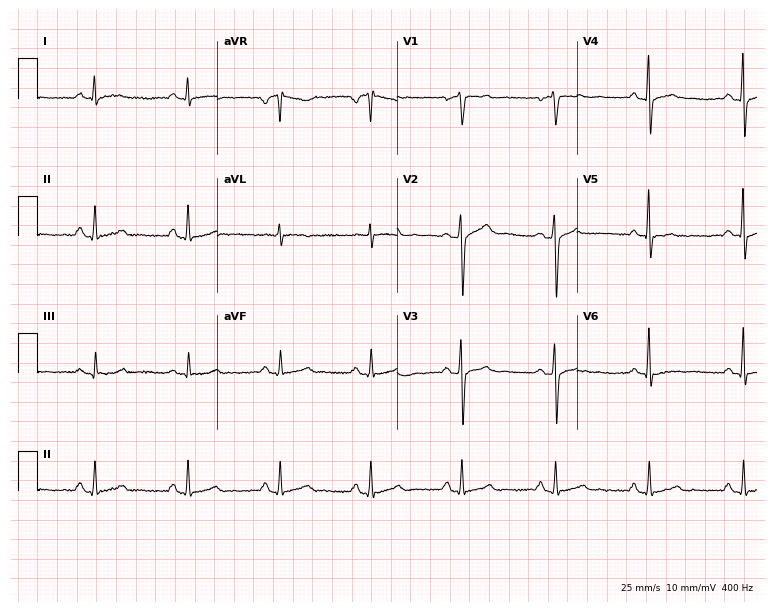
12-lead ECG from a 46-year-old man. No first-degree AV block, right bundle branch block, left bundle branch block, sinus bradycardia, atrial fibrillation or sinus tachycardia recorded for this tracing. Only these six findings were labelled.